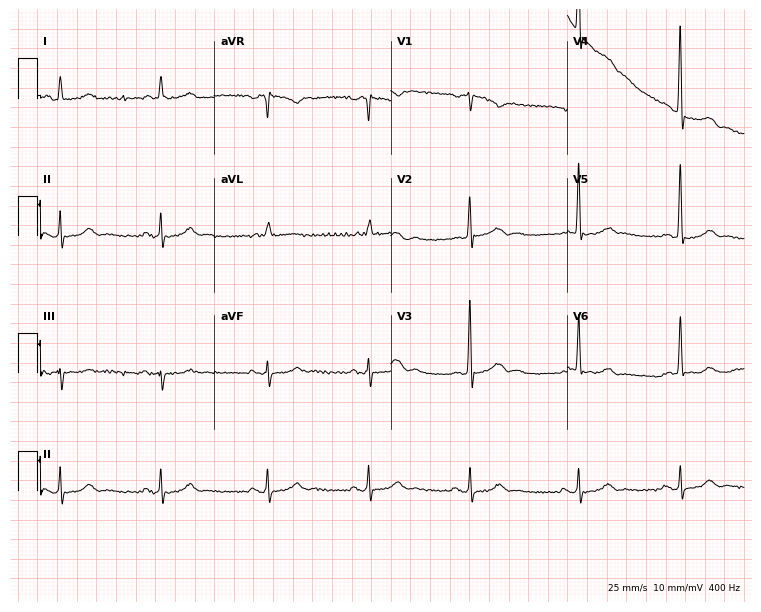
Resting 12-lead electrocardiogram. Patient: an 83-year-old man. Read as a normal ECG.